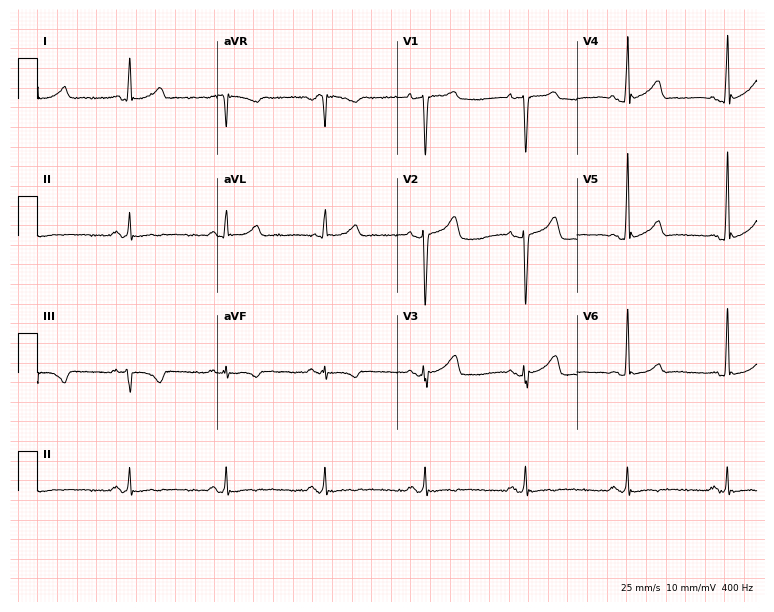
12-lead ECG (7.3-second recording at 400 Hz) from a man, 39 years old. Labelled as a normal ECG.